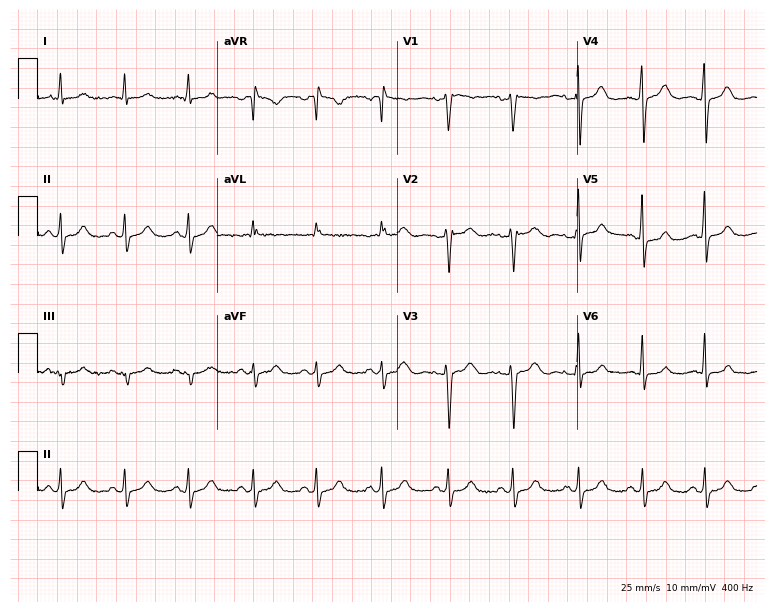
Standard 12-lead ECG recorded from a 62-year-old woman. None of these six findings is recorded: first-degree AV block, right bundle branch block (RBBB), left bundle branch block (LBBB), sinus bradycardia, atrial fibrillation (AF), sinus tachycardia.